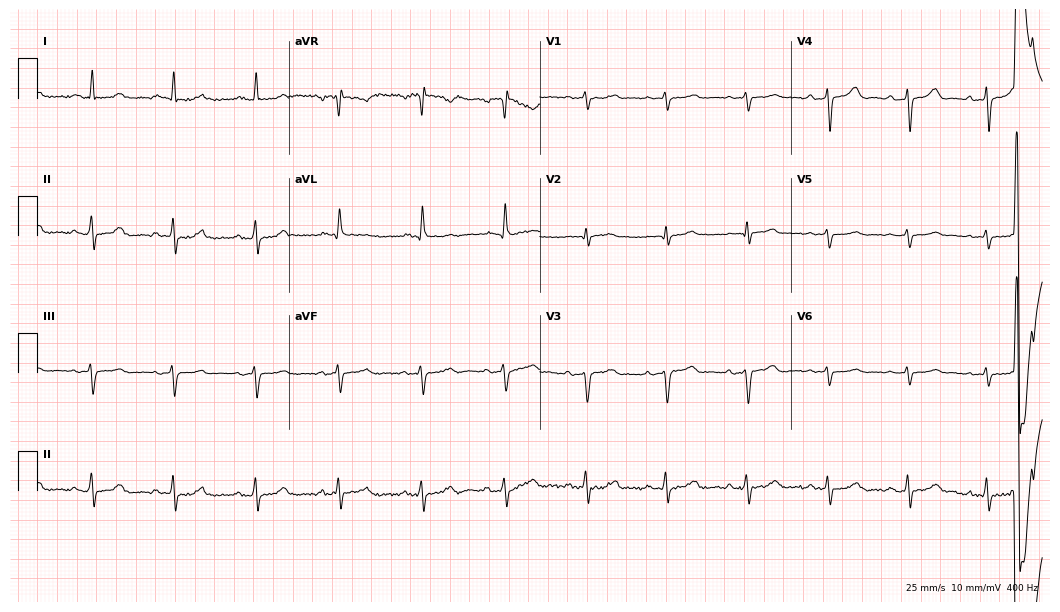
12-lead ECG (10.2-second recording at 400 Hz) from a 67-year-old man. Screened for six findings — first-degree AV block, right bundle branch block, left bundle branch block, sinus bradycardia, atrial fibrillation, sinus tachycardia — none is recorded. Only these six findings were labelled.